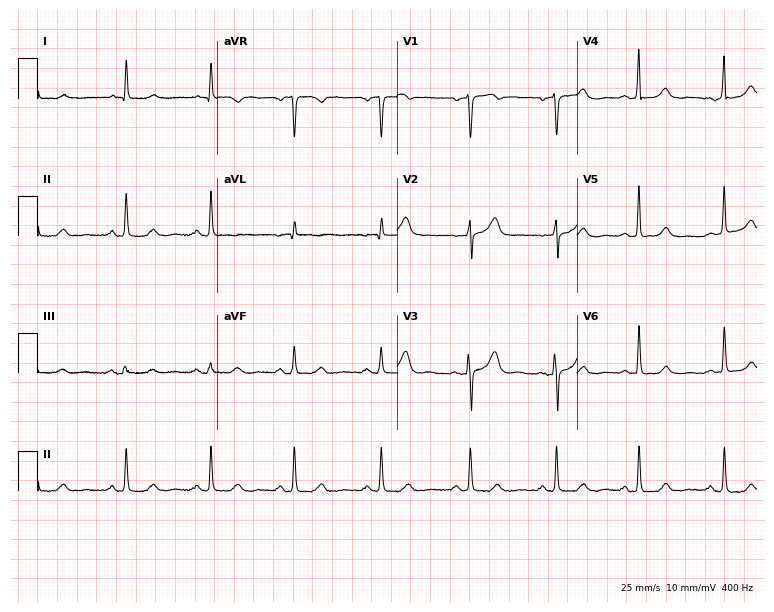
ECG (7.3-second recording at 400 Hz) — a 50-year-old female patient. Labelled as a normal ECG.